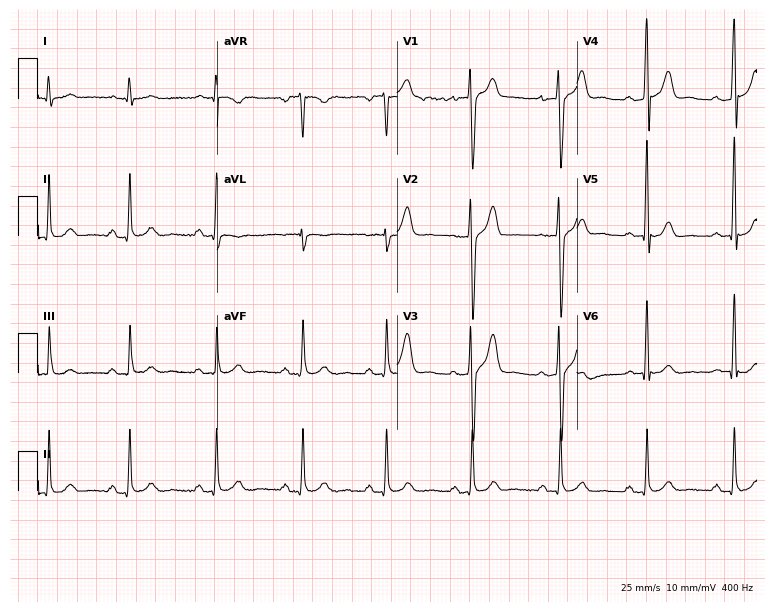
Resting 12-lead electrocardiogram (7.3-second recording at 400 Hz). Patient: a 37-year-old male. Read as a normal ECG.